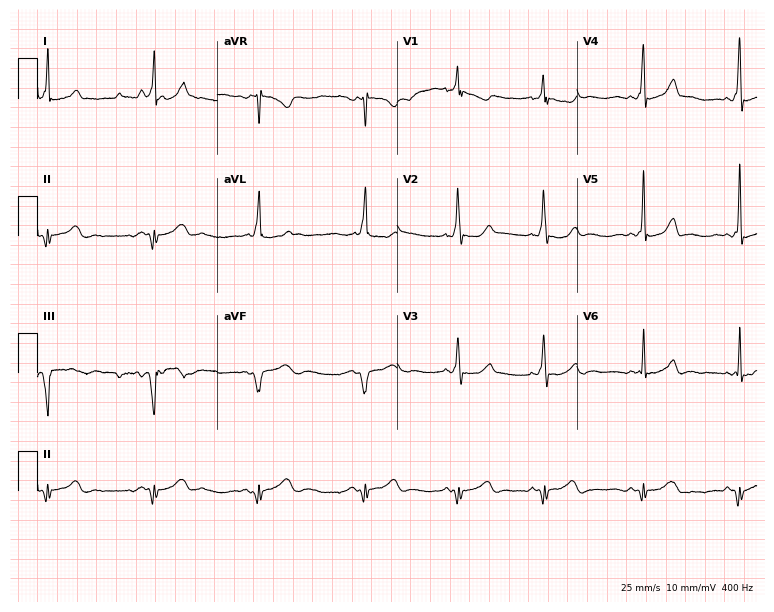
12-lead ECG from a female, 27 years old. Screened for six findings — first-degree AV block, right bundle branch block, left bundle branch block, sinus bradycardia, atrial fibrillation, sinus tachycardia — none is recorded.